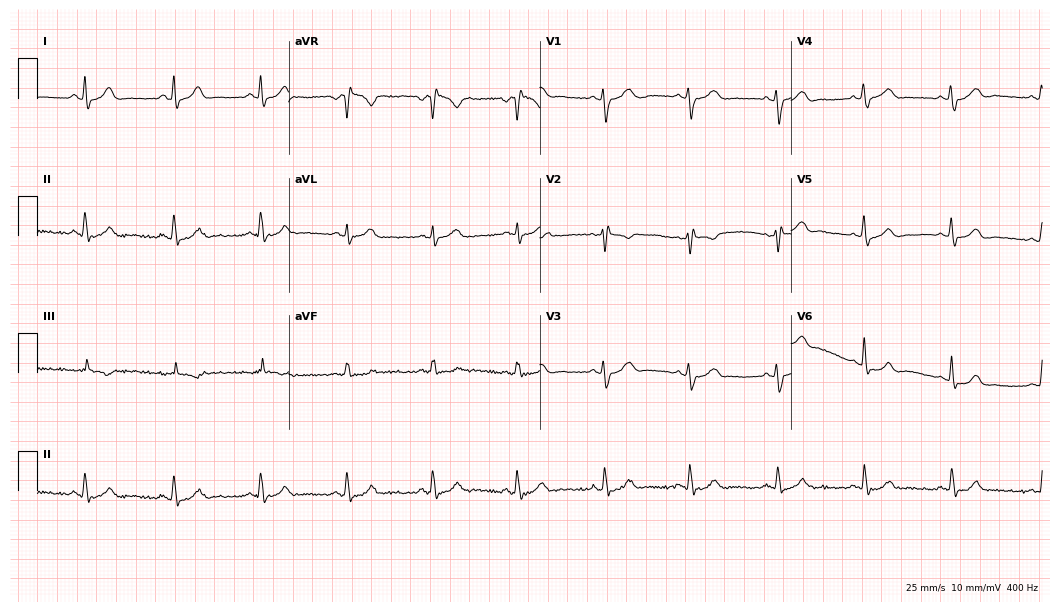
Electrocardiogram, a woman, 39 years old. Of the six screened findings (first-degree AV block, right bundle branch block (RBBB), left bundle branch block (LBBB), sinus bradycardia, atrial fibrillation (AF), sinus tachycardia), none is recorded. Findings outside these six are not listed.